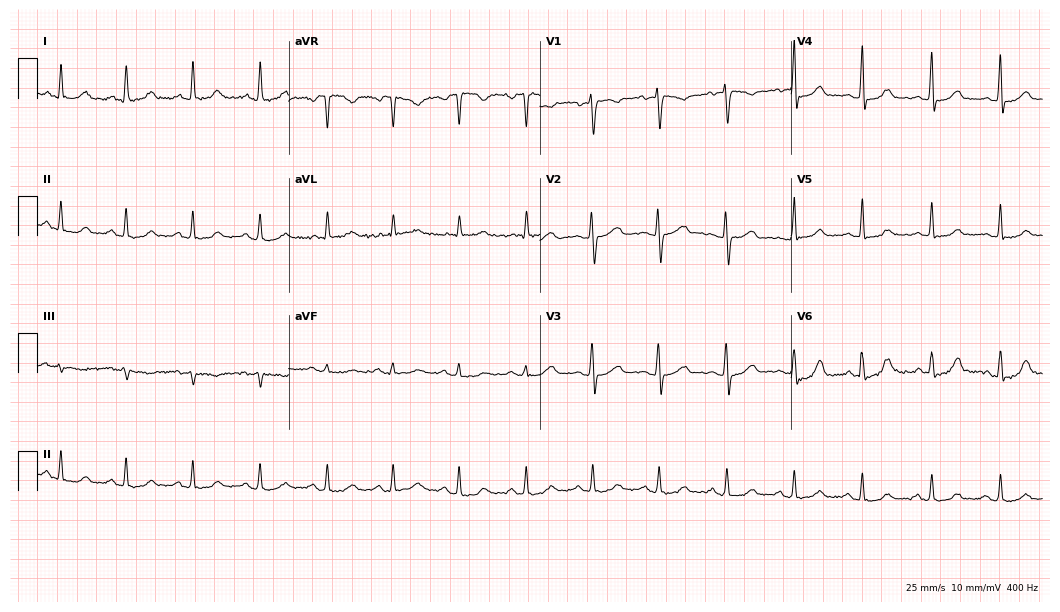
ECG — a woman, 54 years old. Labelled as a normal ECG.